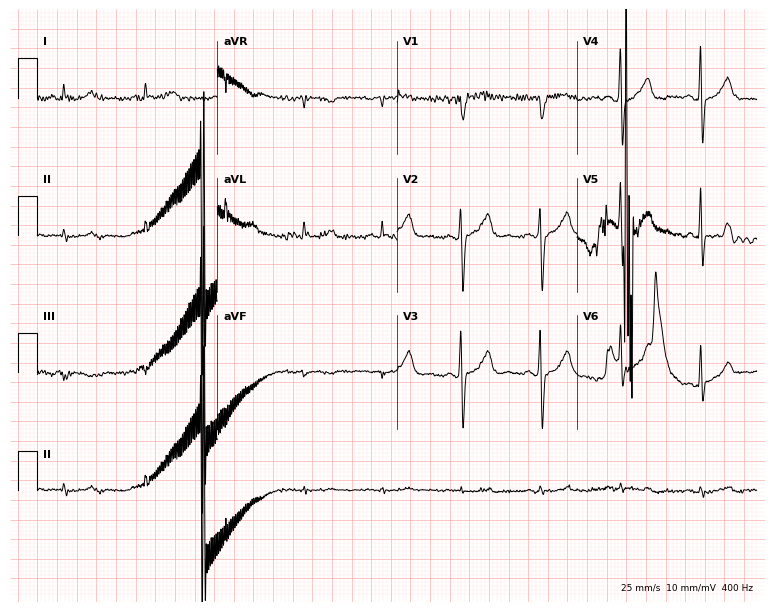
12-lead ECG from a male, 79 years old (7.3-second recording at 400 Hz). No first-degree AV block, right bundle branch block, left bundle branch block, sinus bradycardia, atrial fibrillation or sinus tachycardia recorded for this tracing. Other findings, if any, are not listed.